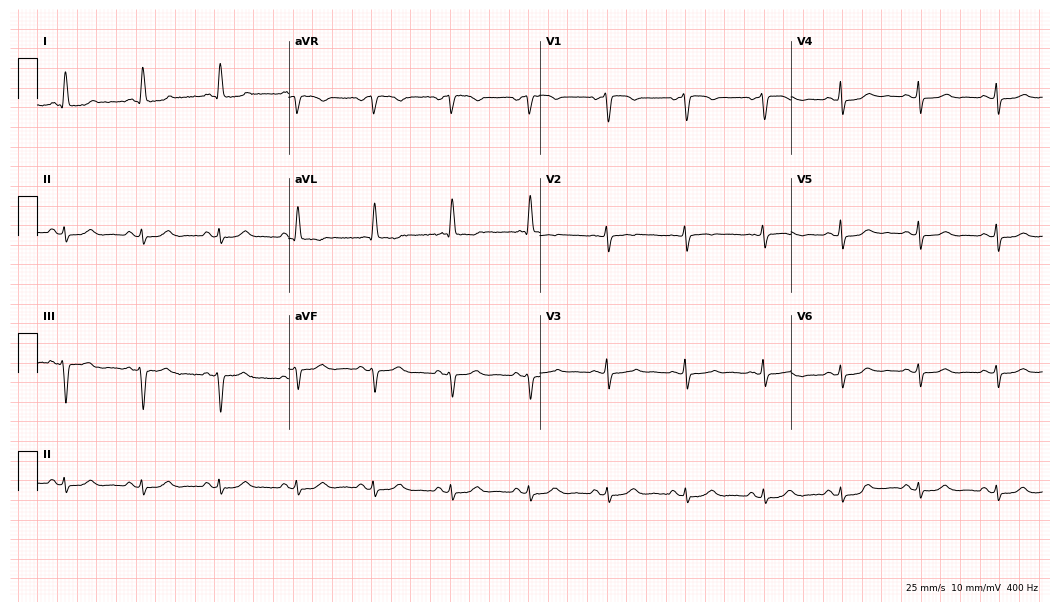
ECG (10.2-second recording at 400 Hz) — a female, 74 years old. Screened for six findings — first-degree AV block, right bundle branch block (RBBB), left bundle branch block (LBBB), sinus bradycardia, atrial fibrillation (AF), sinus tachycardia — none is recorded. Findings outside these six are not listed.